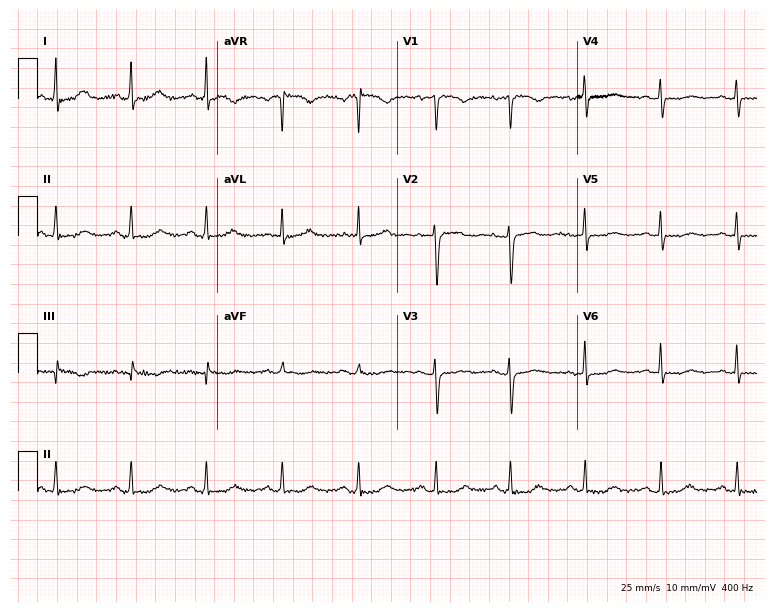
Resting 12-lead electrocardiogram. Patient: a 58-year-old woman. None of these six findings is recorded: first-degree AV block, right bundle branch block, left bundle branch block, sinus bradycardia, atrial fibrillation, sinus tachycardia.